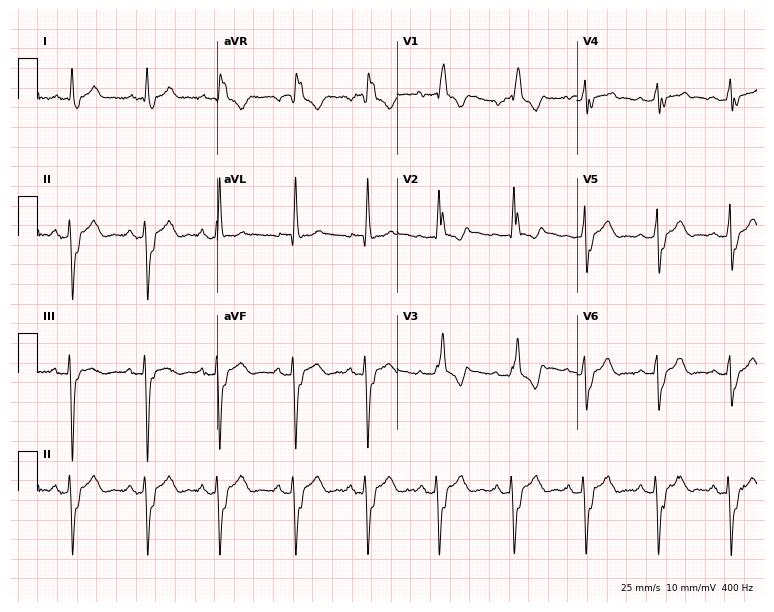
ECG — a 54-year-old male patient. Screened for six findings — first-degree AV block, right bundle branch block, left bundle branch block, sinus bradycardia, atrial fibrillation, sinus tachycardia — none is recorded.